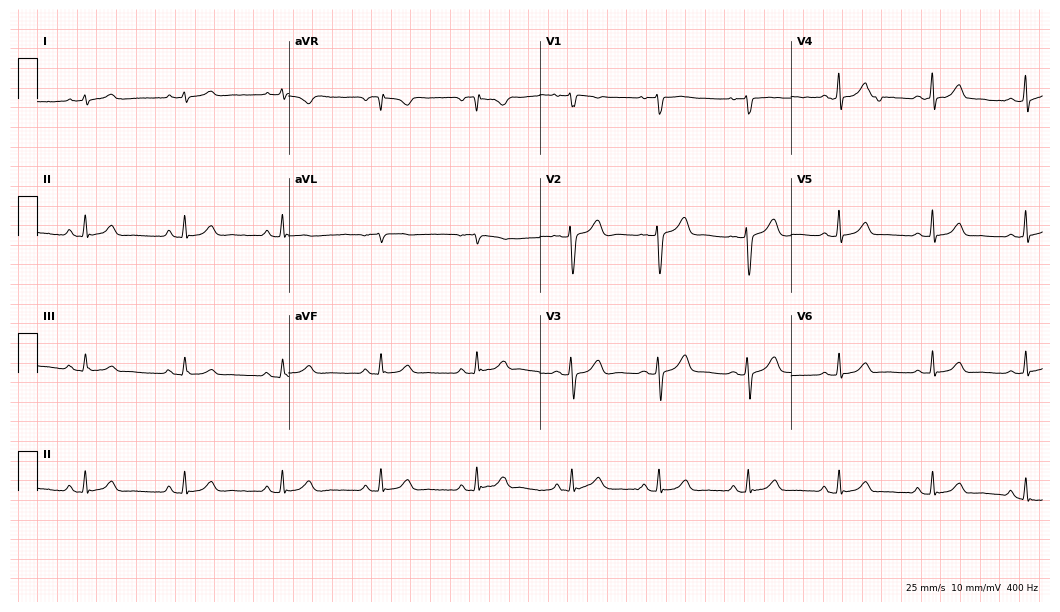
ECG (10.2-second recording at 400 Hz) — a female patient, 31 years old. Labelled as a normal ECG.